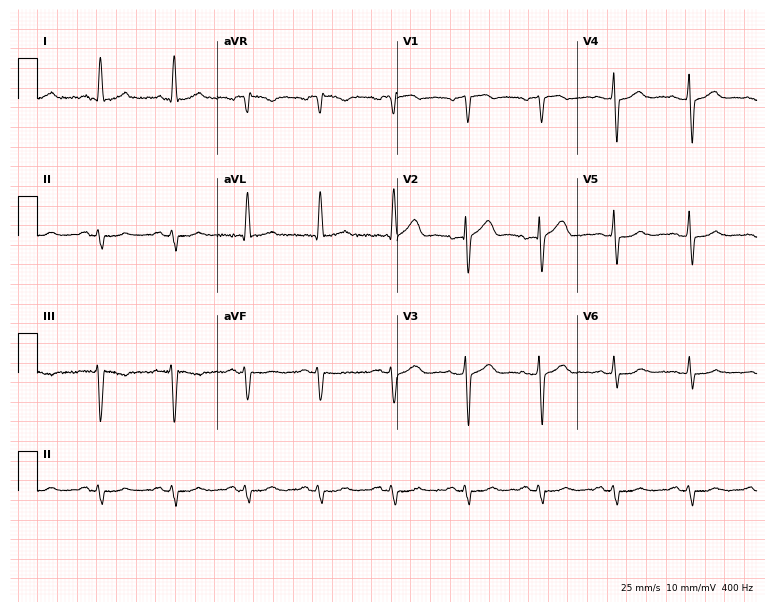
Resting 12-lead electrocardiogram. Patient: a 53-year-old male. None of these six findings is recorded: first-degree AV block, right bundle branch block, left bundle branch block, sinus bradycardia, atrial fibrillation, sinus tachycardia.